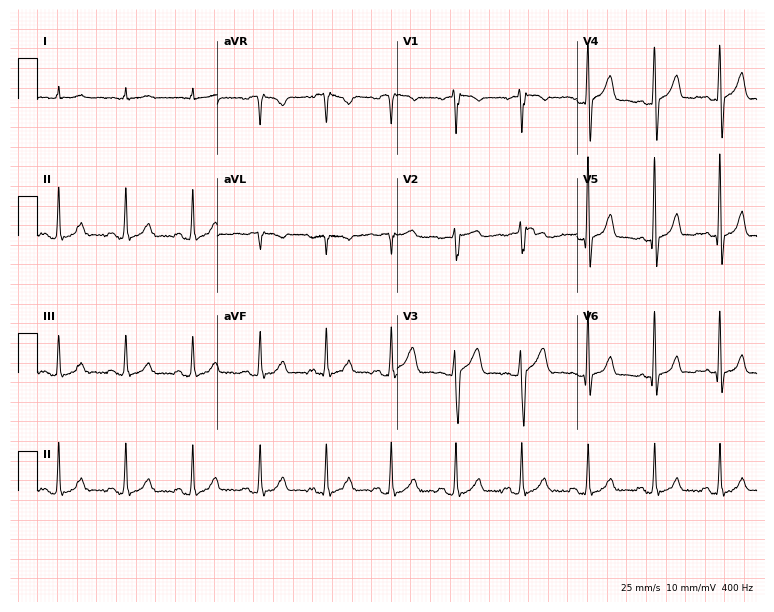
12-lead ECG from a 42-year-old woman. Recorded interpretation: within normal limits.